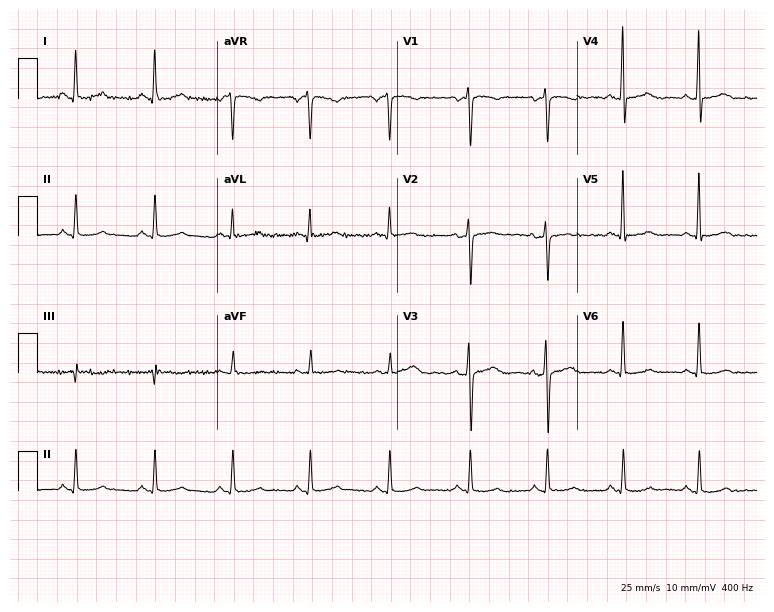
12-lead ECG from a 43-year-old female. Recorded interpretation: within normal limits.